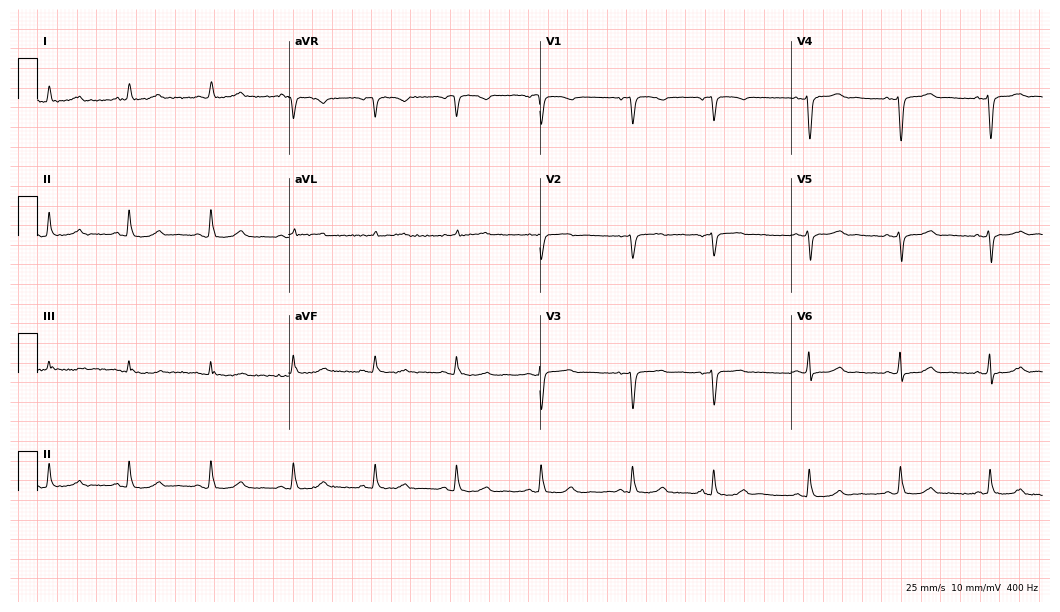
Electrocardiogram (10.2-second recording at 400 Hz), a female patient, 65 years old. Of the six screened findings (first-degree AV block, right bundle branch block (RBBB), left bundle branch block (LBBB), sinus bradycardia, atrial fibrillation (AF), sinus tachycardia), none is recorded. Only these six findings were labelled.